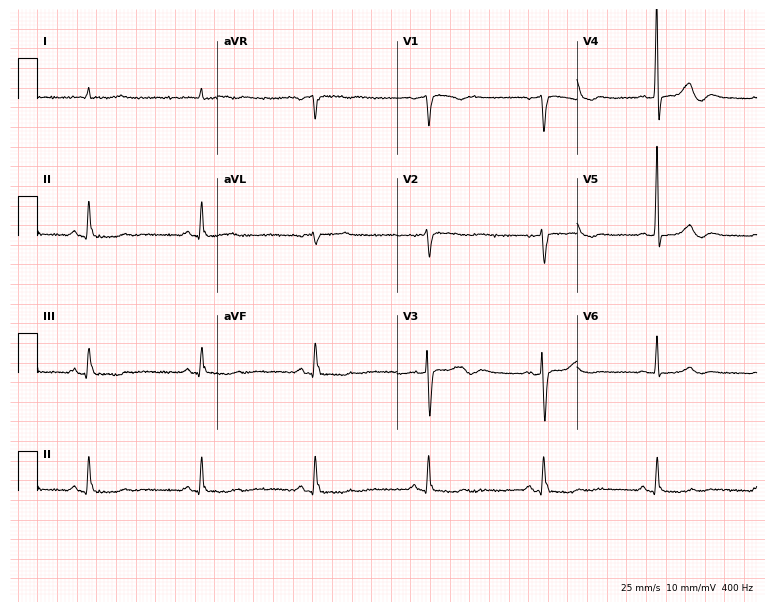
Resting 12-lead electrocardiogram. Patient: an 82-year-old male. None of these six findings is recorded: first-degree AV block, right bundle branch block, left bundle branch block, sinus bradycardia, atrial fibrillation, sinus tachycardia. Other findings, if any, are not listed.